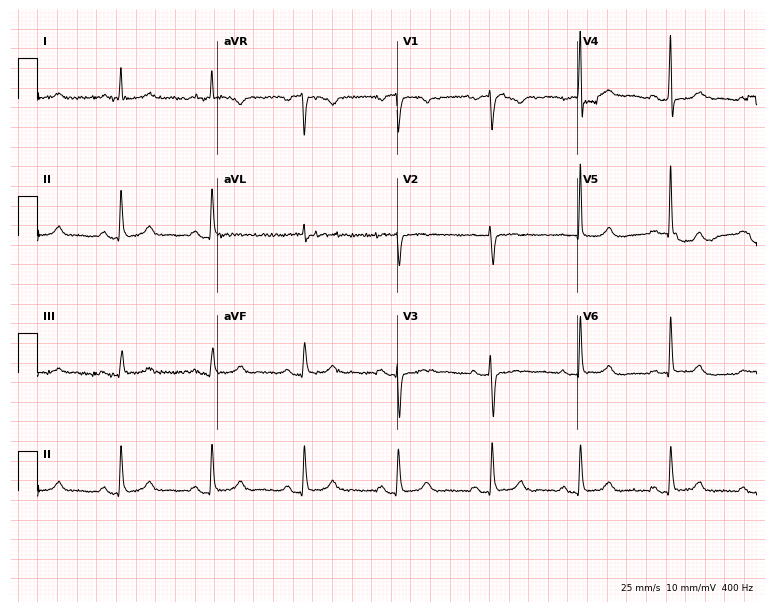
Resting 12-lead electrocardiogram (7.3-second recording at 400 Hz). Patient: an 80-year-old woman. Read as a normal ECG.